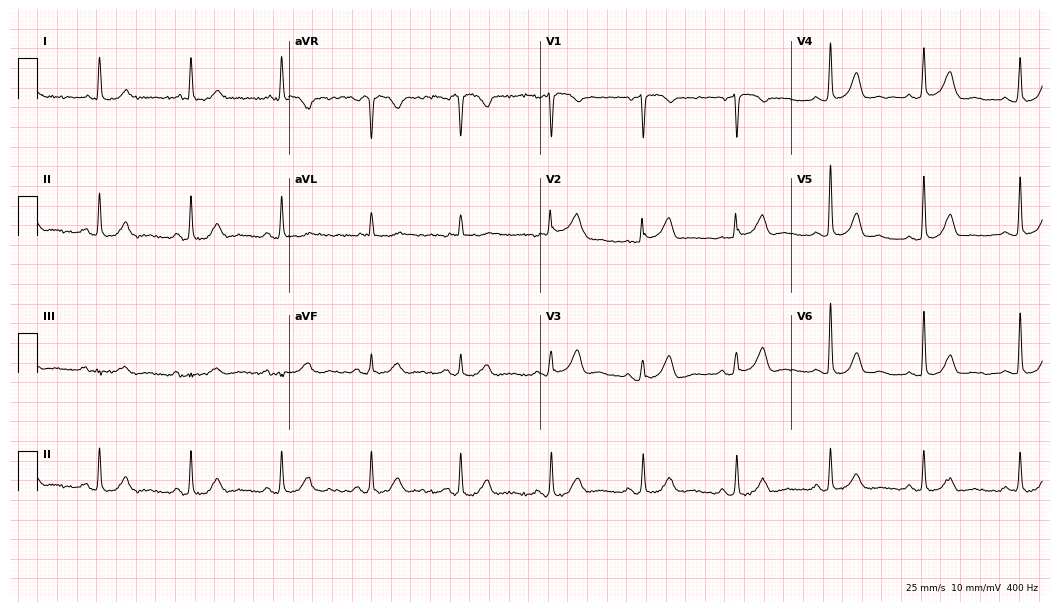
12-lead ECG from a man, 79 years old. No first-degree AV block, right bundle branch block, left bundle branch block, sinus bradycardia, atrial fibrillation or sinus tachycardia recorded for this tracing. Findings outside these six are not listed.